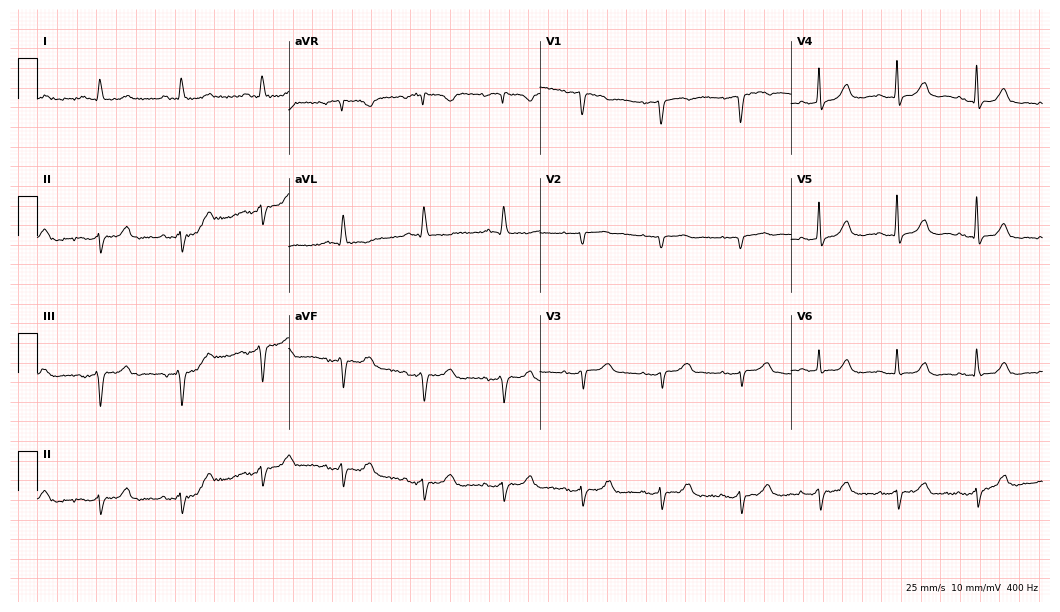
12-lead ECG (10.2-second recording at 400 Hz) from a 77-year-old woman. Screened for six findings — first-degree AV block, right bundle branch block, left bundle branch block, sinus bradycardia, atrial fibrillation, sinus tachycardia — none is recorded.